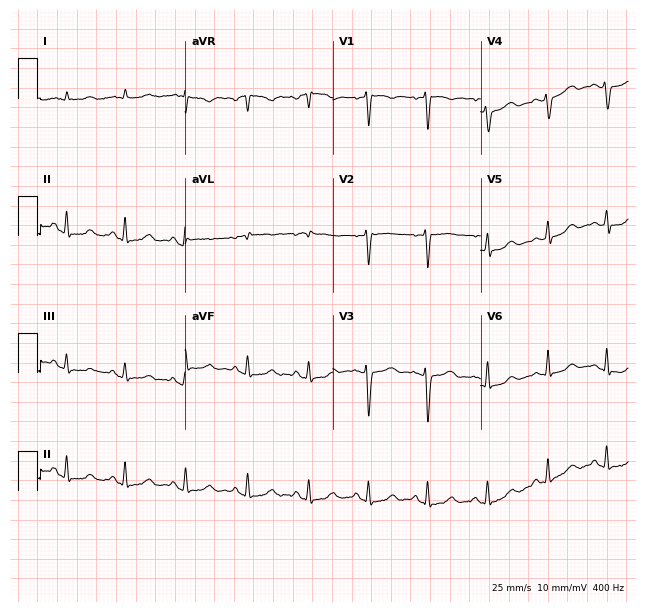
ECG (6-second recording at 400 Hz) — a female, 48 years old. Screened for six findings — first-degree AV block, right bundle branch block, left bundle branch block, sinus bradycardia, atrial fibrillation, sinus tachycardia — none is recorded.